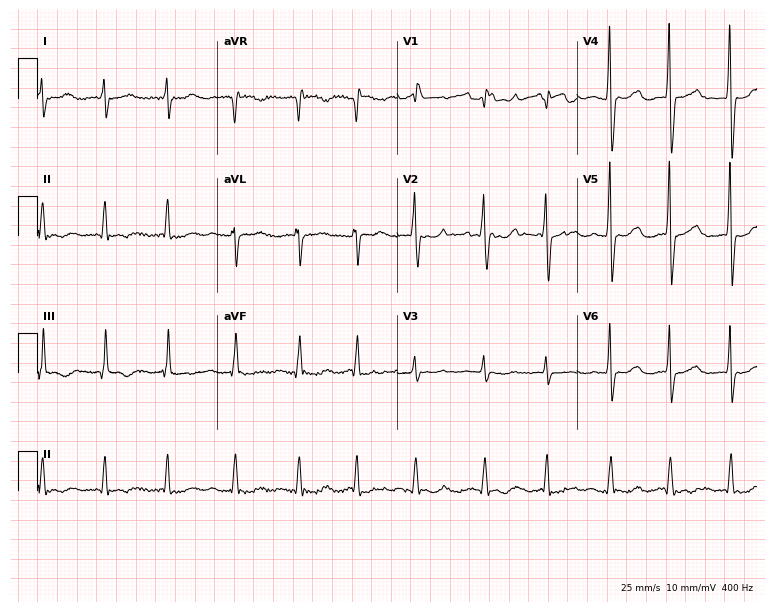
Standard 12-lead ECG recorded from a woman, 59 years old. The tracing shows atrial fibrillation.